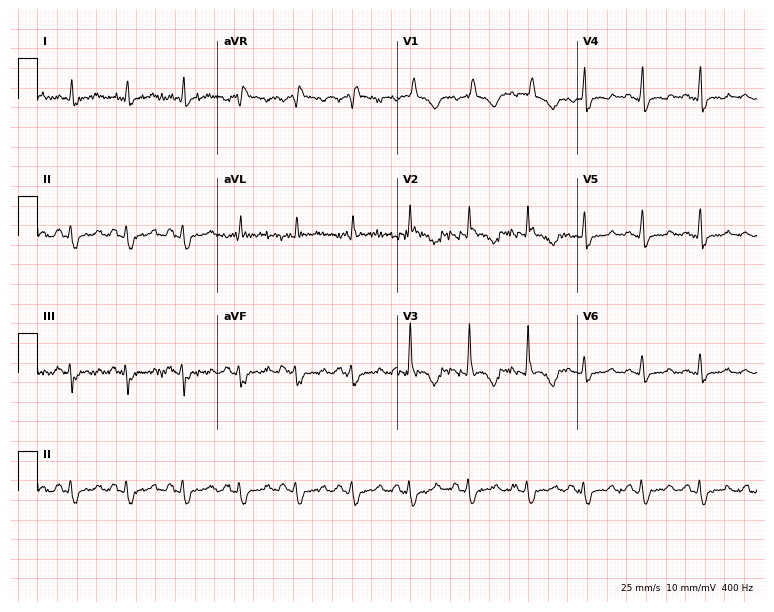
ECG — a woman, 35 years old. Findings include sinus tachycardia (a sinus rate of 100 beats per minute or more).